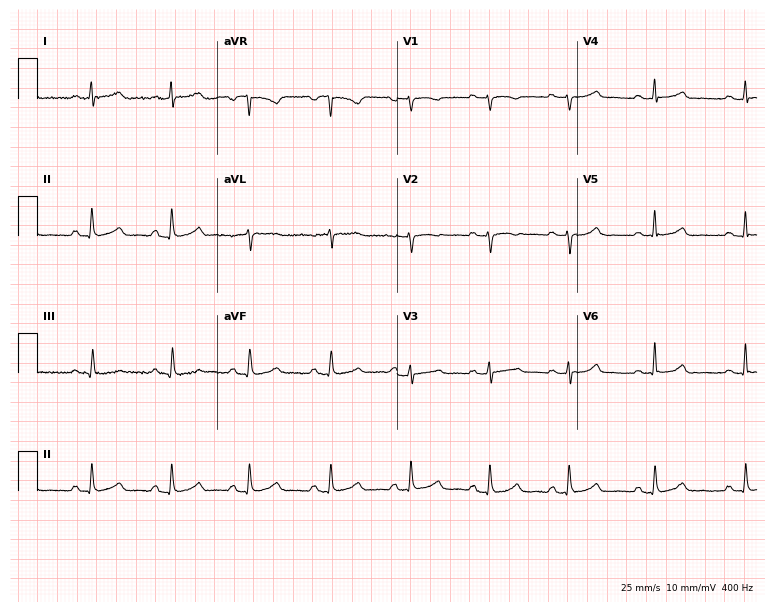
Standard 12-lead ECG recorded from a female patient, 38 years old (7.3-second recording at 400 Hz). Read as a normal ECG.